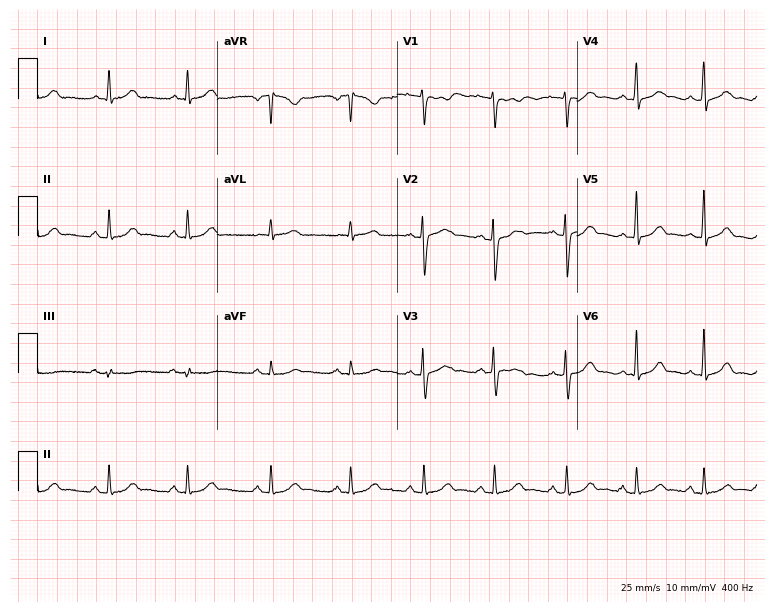
Resting 12-lead electrocardiogram. Patient: a female, 23 years old. None of these six findings is recorded: first-degree AV block, right bundle branch block (RBBB), left bundle branch block (LBBB), sinus bradycardia, atrial fibrillation (AF), sinus tachycardia.